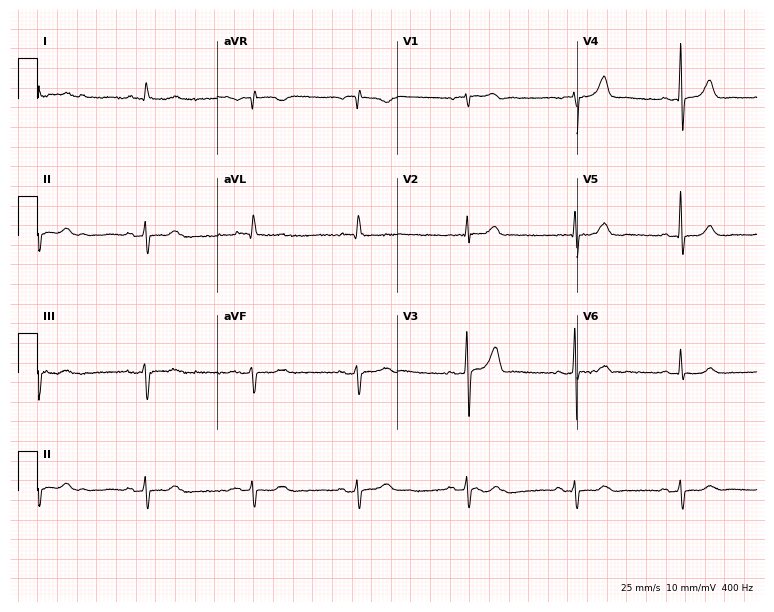
Resting 12-lead electrocardiogram. Patient: a male, 85 years old. None of these six findings is recorded: first-degree AV block, right bundle branch block (RBBB), left bundle branch block (LBBB), sinus bradycardia, atrial fibrillation (AF), sinus tachycardia. Other findings, if any, are not listed.